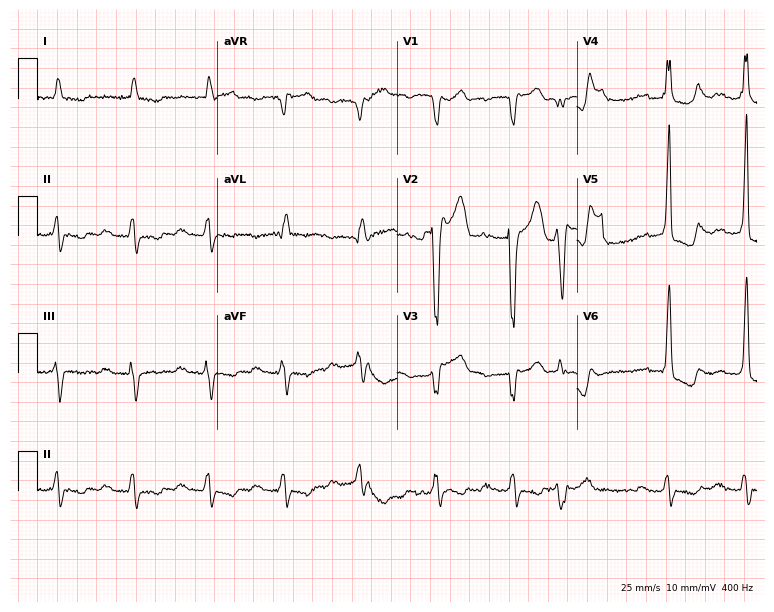
12-lead ECG from a male, 81 years old. Shows first-degree AV block, left bundle branch block.